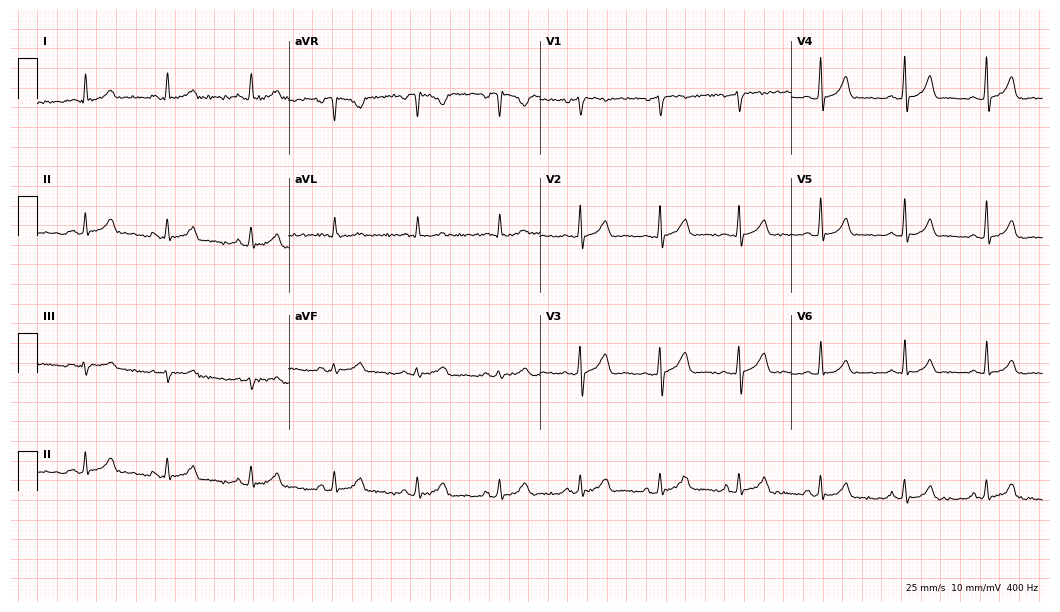
Standard 12-lead ECG recorded from a man, 44 years old. Read as a normal ECG.